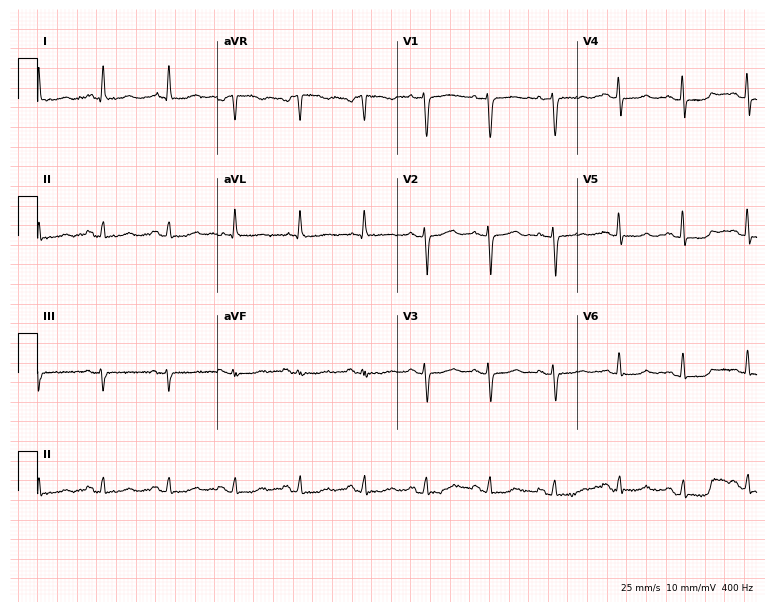
Standard 12-lead ECG recorded from a 65-year-old female patient (7.3-second recording at 400 Hz). None of these six findings is recorded: first-degree AV block, right bundle branch block, left bundle branch block, sinus bradycardia, atrial fibrillation, sinus tachycardia.